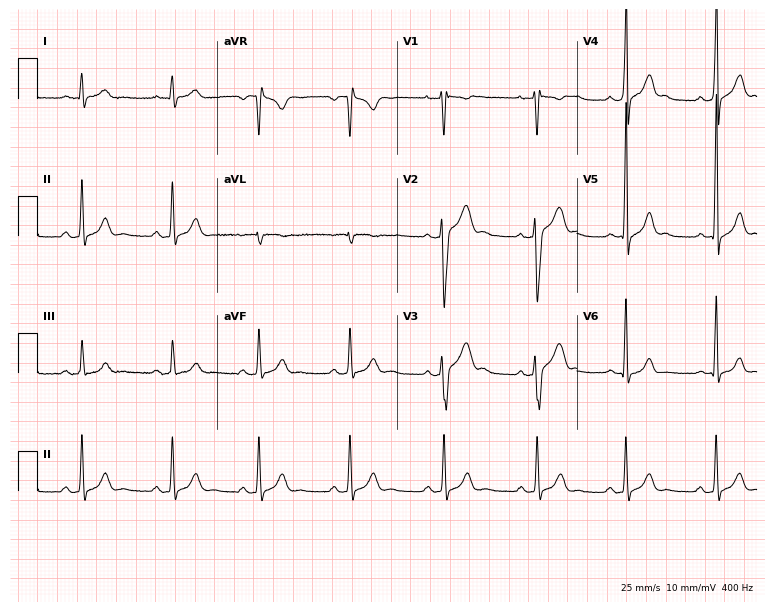
Electrocardiogram, a male patient, 36 years old. Of the six screened findings (first-degree AV block, right bundle branch block (RBBB), left bundle branch block (LBBB), sinus bradycardia, atrial fibrillation (AF), sinus tachycardia), none is recorded.